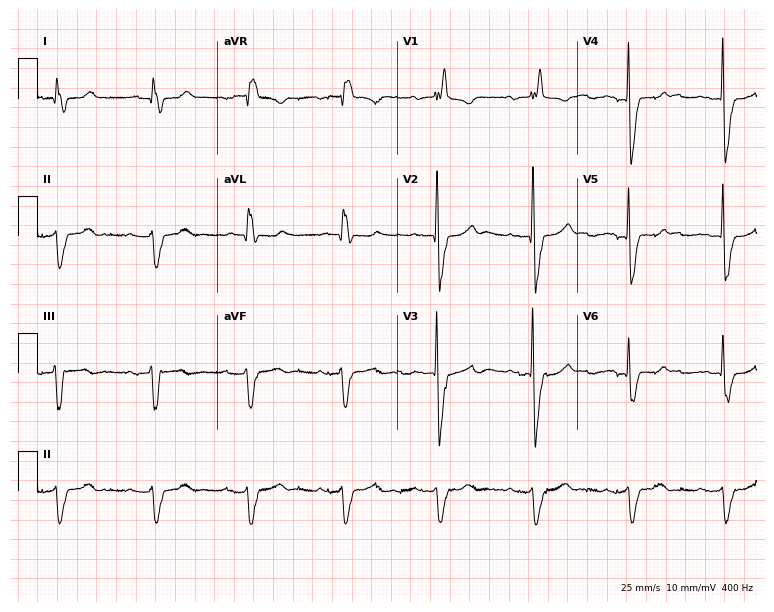
ECG — a man, 81 years old. Findings include first-degree AV block, right bundle branch block (RBBB).